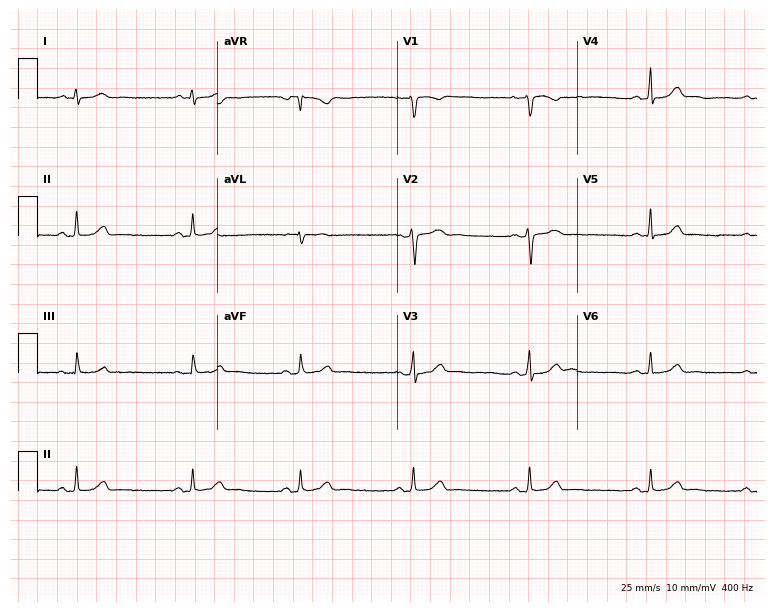
ECG (7.3-second recording at 400 Hz) — a female patient, 28 years old. Screened for six findings — first-degree AV block, right bundle branch block, left bundle branch block, sinus bradycardia, atrial fibrillation, sinus tachycardia — none is recorded. Only these six findings were labelled.